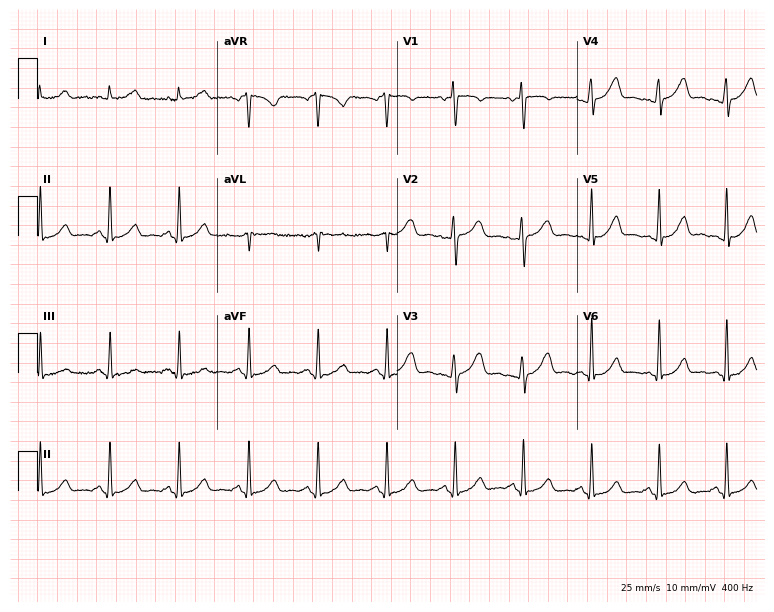
Standard 12-lead ECG recorded from a 46-year-old female patient (7.3-second recording at 400 Hz). None of these six findings is recorded: first-degree AV block, right bundle branch block (RBBB), left bundle branch block (LBBB), sinus bradycardia, atrial fibrillation (AF), sinus tachycardia. Findings outside these six are not listed.